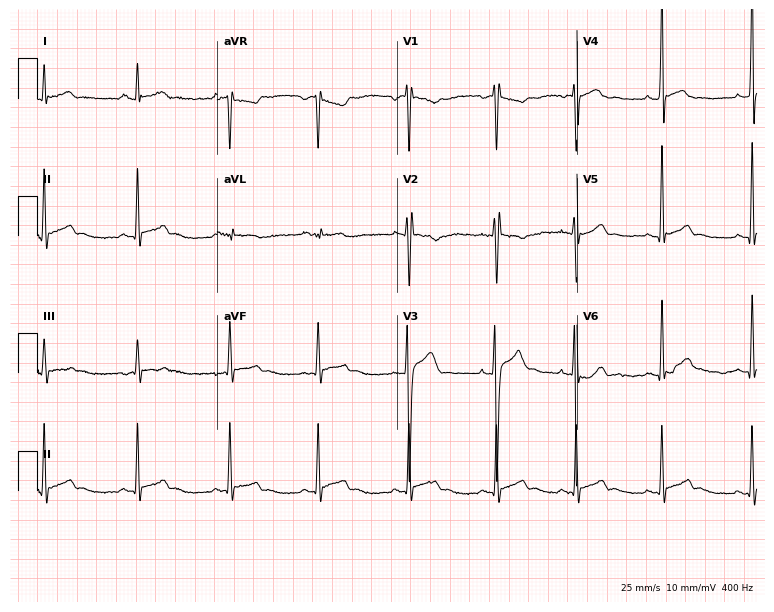
12-lead ECG (7.3-second recording at 400 Hz) from a 17-year-old man. Labelled as a normal ECG.